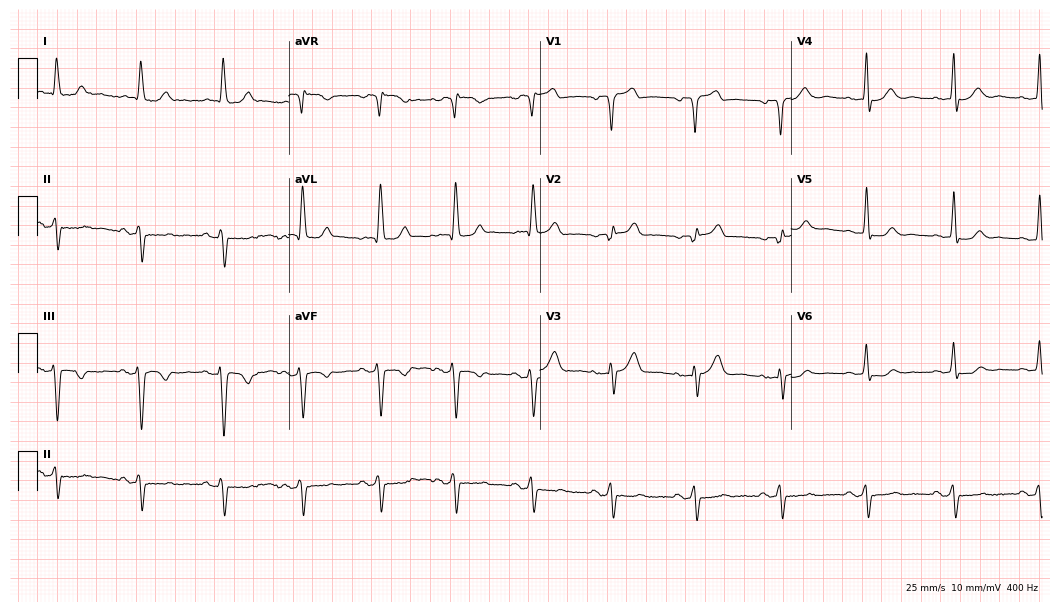
ECG — a 76-year-old man. Screened for six findings — first-degree AV block, right bundle branch block, left bundle branch block, sinus bradycardia, atrial fibrillation, sinus tachycardia — none is recorded.